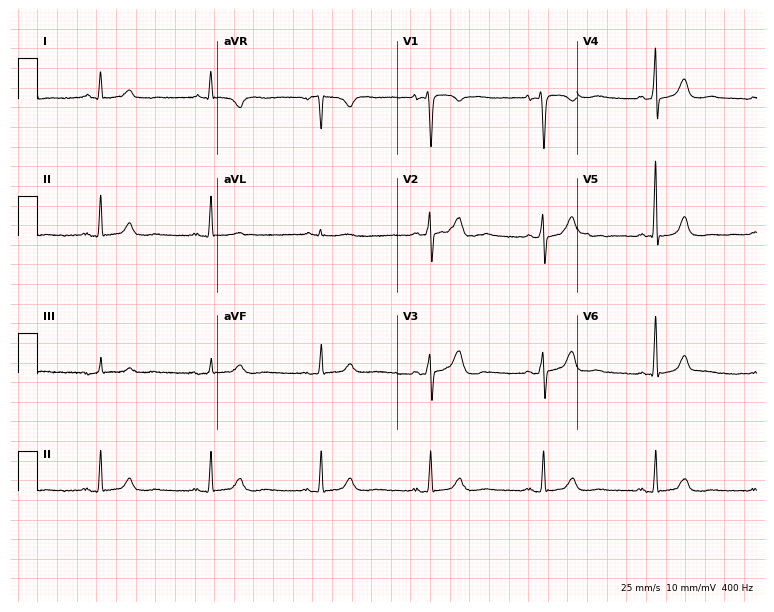
Standard 12-lead ECG recorded from a woman, 64 years old (7.3-second recording at 400 Hz). Read as a normal ECG.